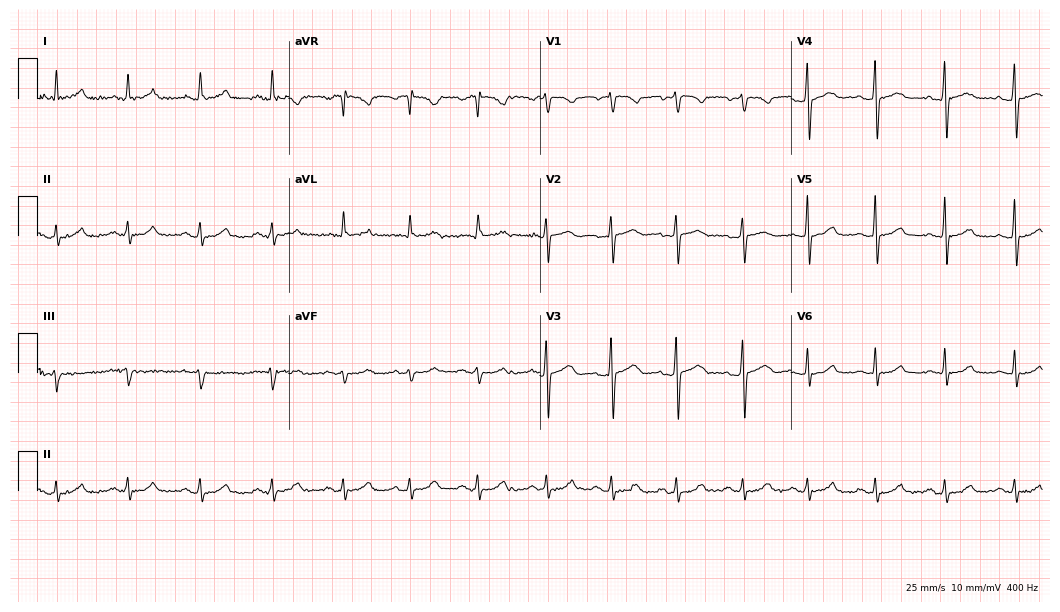
Electrocardiogram, a female, 36 years old. Overall reading on record: normal ECG.